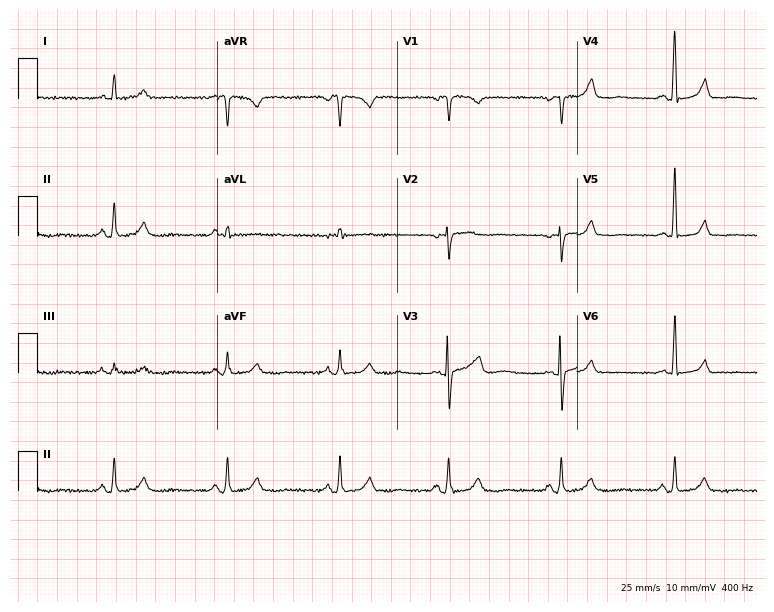
ECG (7.3-second recording at 400 Hz) — a female, 58 years old. Screened for six findings — first-degree AV block, right bundle branch block, left bundle branch block, sinus bradycardia, atrial fibrillation, sinus tachycardia — none is recorded.